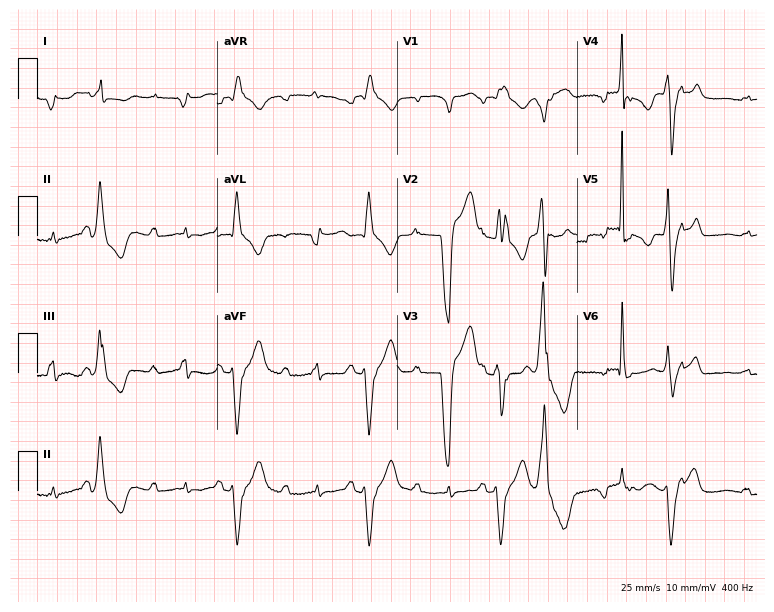
Standard 12-lead ECG recorded from a woman, 78 years old. None of these six findings is recorded: first-degree AV block, right bundle branch block, left bundle branch block, sinus bradycardia, atrial fibrillation, sinus tachycardia.